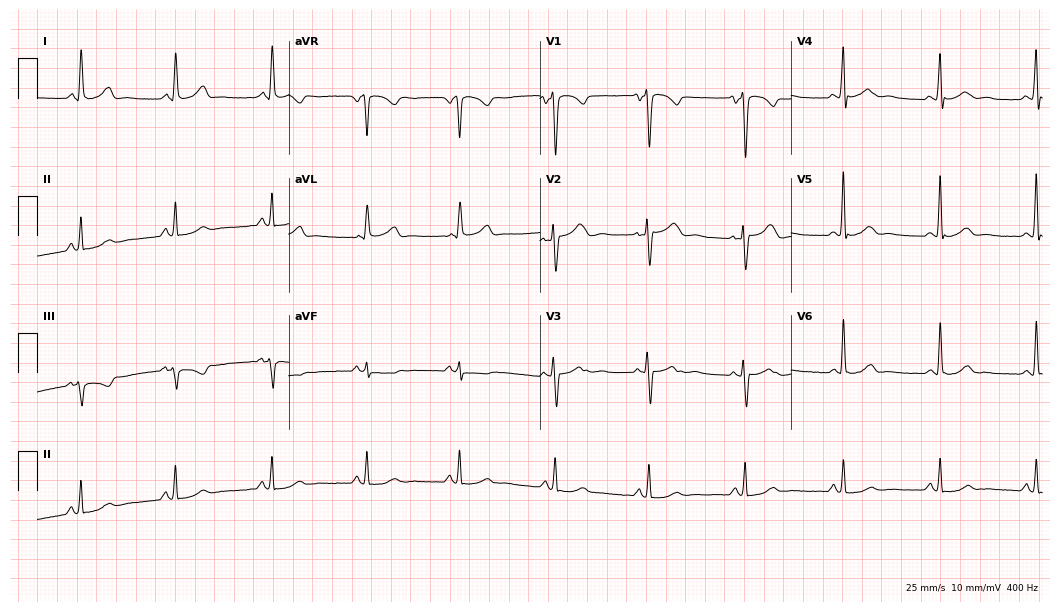
Standard 12-lead ECG recorded from a 50-year-old male patient. Read as a normal ECG.